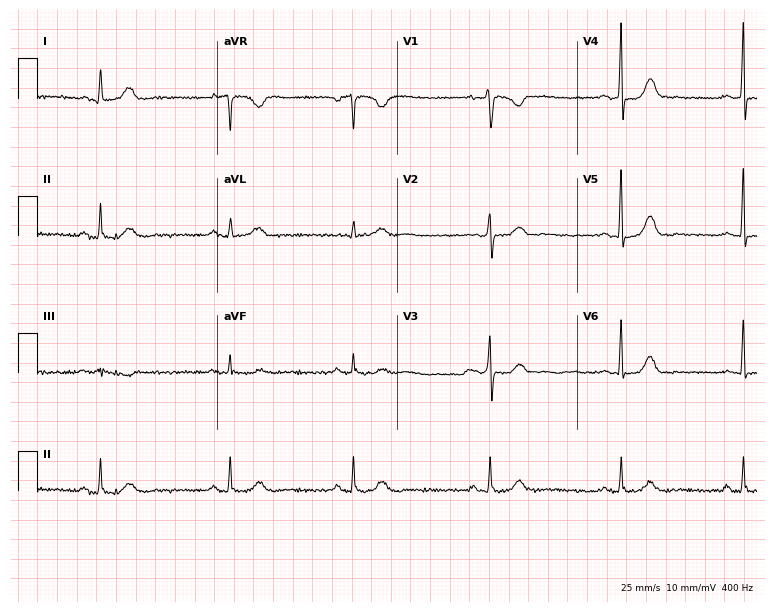
Resting 12-lead electrocardiogram. Patient: a female, 37 years old. None of these six findings is recorded: first-degree AV block, right bundle branch block, left bundle branch block, sinus bradycardia, atrial fibrillation, sinus tachycardia.